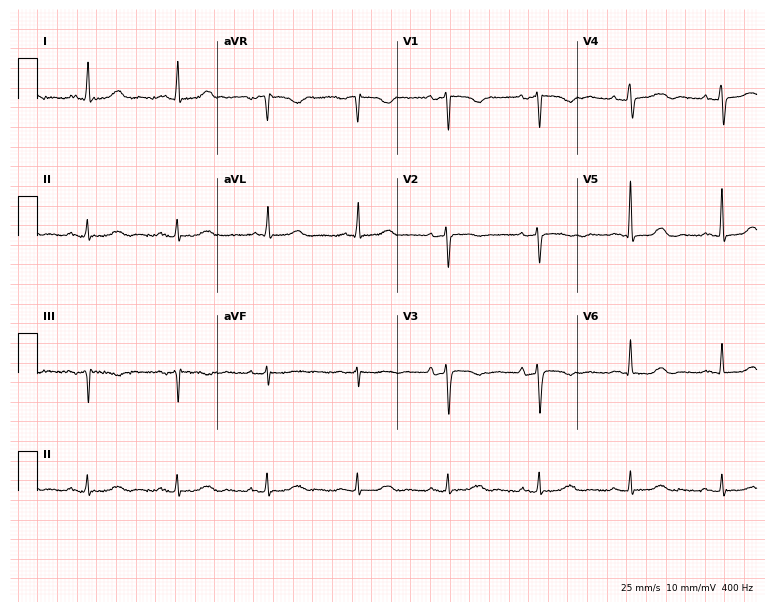
ECG (7.3-second recording at 400 Hz) — a 74-year-old female patient. Labelled as a normal ECG.